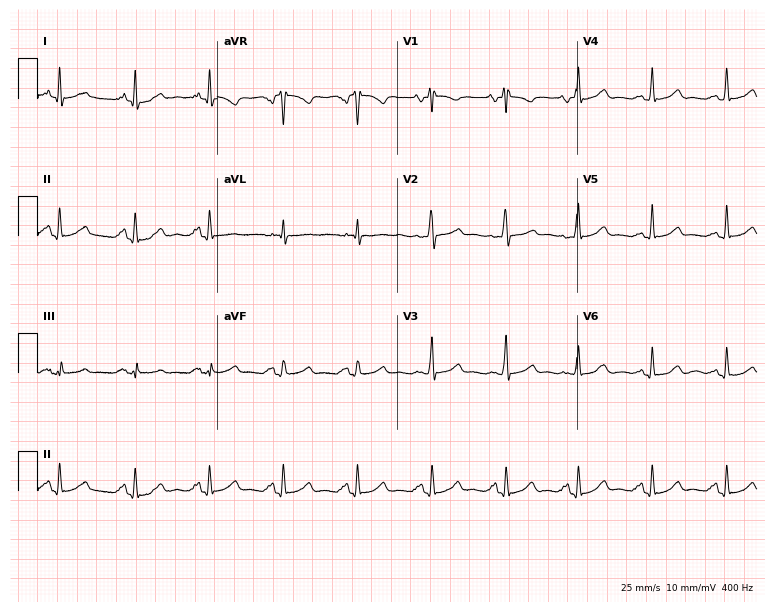
12-lead ECG (7.3-second recording at 400 Hz) from a woman, 37 years old. Screened for six findings — first-degree AV block, right bundle branch block, left bundle branch block, sinus bradycardia, atrial fibrillation, sinus tachycardia — none is recorded.